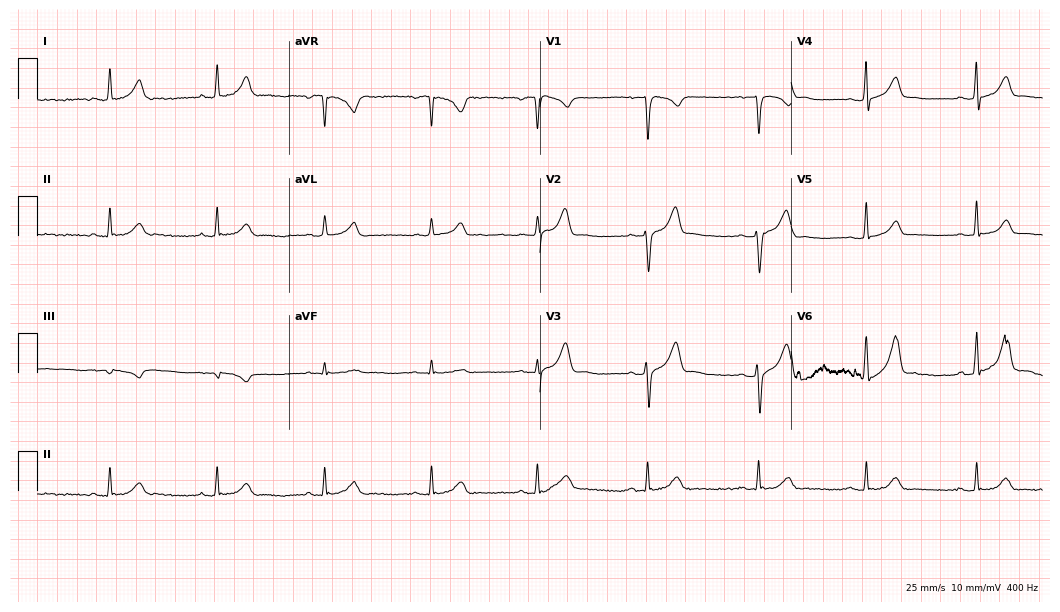
12-lead ECG from a male, 48 years old. Labelled as a normal ECG.